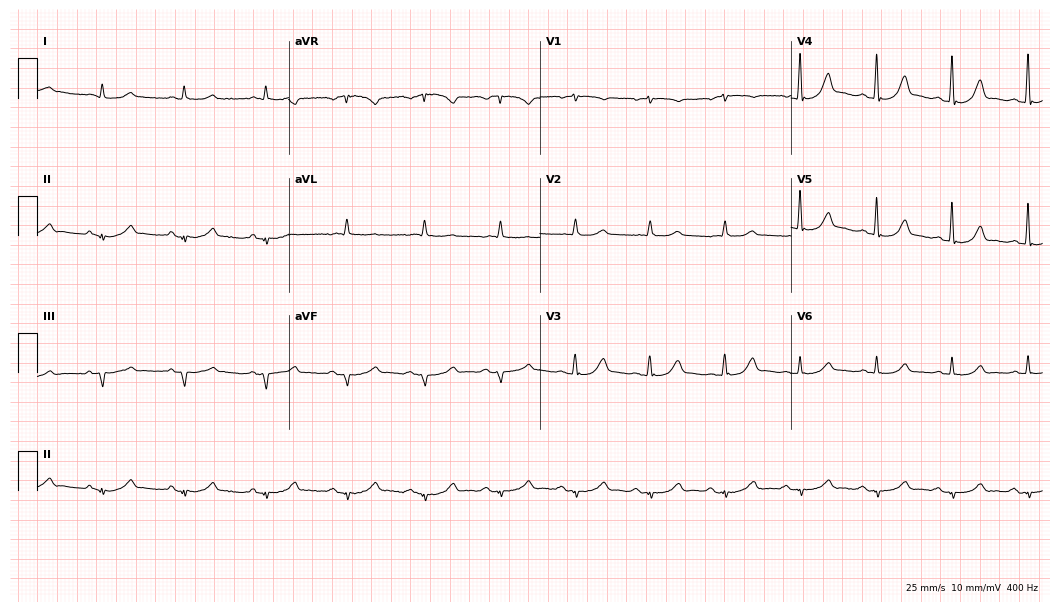
Resting 12-lead electrocardiogram (10.2-second recording at 400 Hz). Patient: a woman, 82 years old. None of these six findings is recorded: first-degree AV block, right bundle branch block (RBBB), left bundle branch block (LBBB), sinus bradycardia, atrial fibrillation (AF), sinus tachycardia. Only these six findings were labelled.